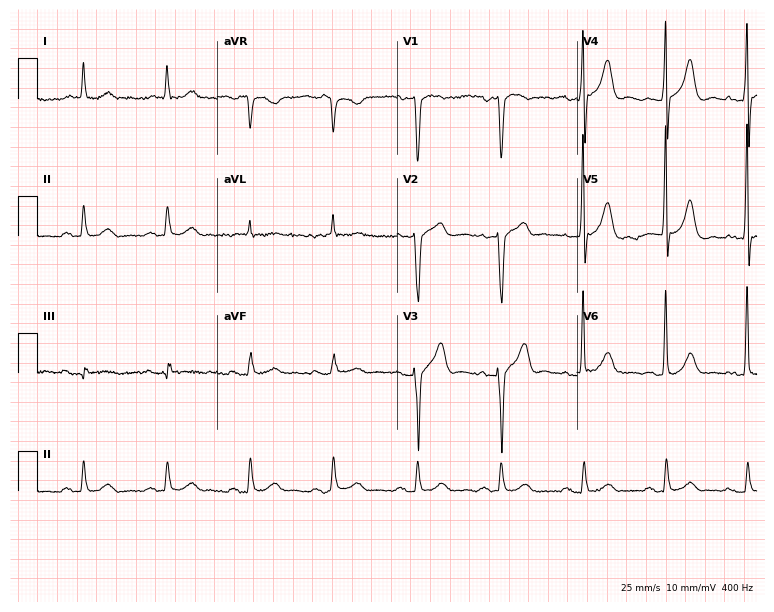
Resting 12-lead electrocardiogram. Patient: a 68-year-old male. None of these six findings is recorded: first-degree AV block, right bundle branch block (RBBB), left bundle branch block (LBBB), sinus bradycardia, atrial fibrillation (AF), sinus tachycardia. Other findings, if any, are not listed.